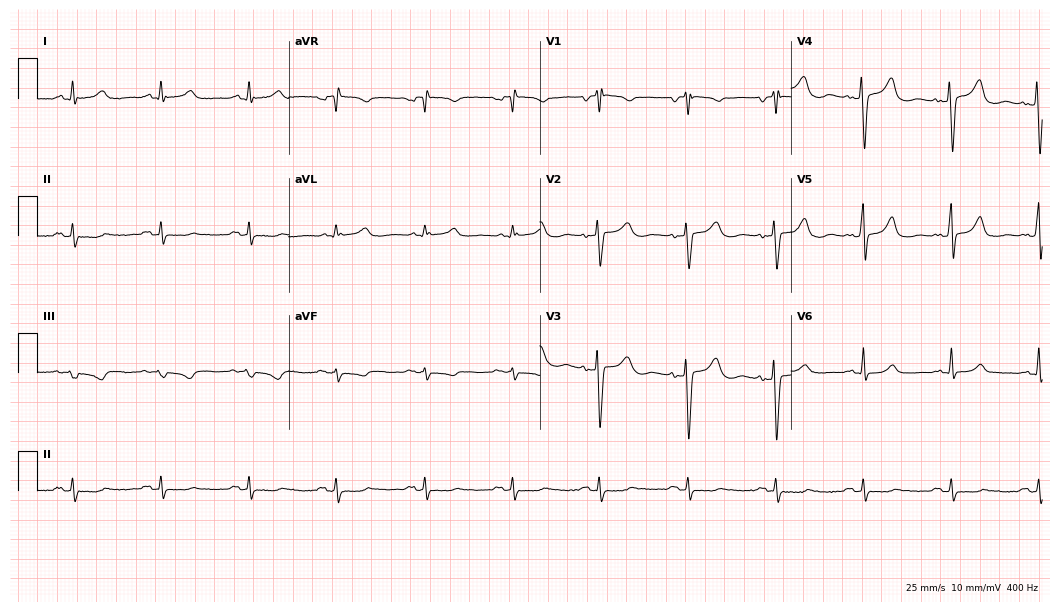
Standard 12-lead ECG recorded from a 70-year-old female patient. None of these six findings is recorded: first-degree AV block, right bundle branch block, left bundle branch block, sinus bradycardia, atrial fibrillation, sinus tachycardia.